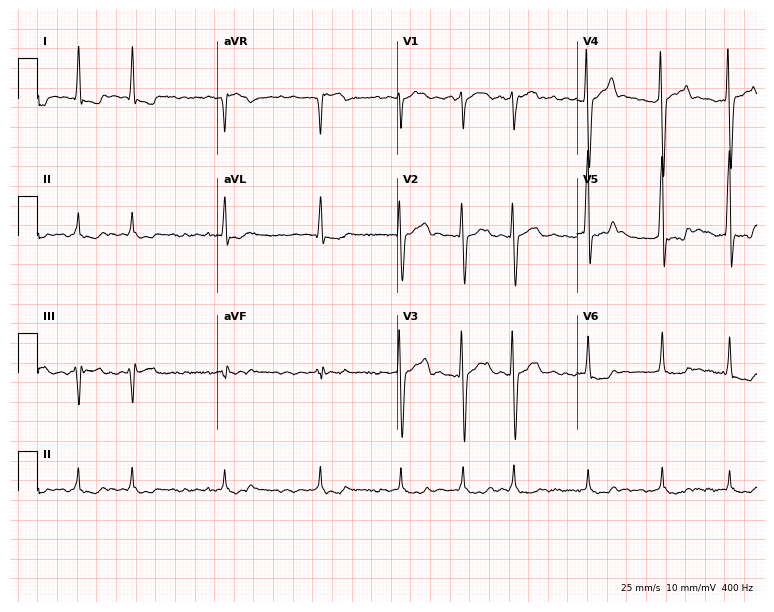
Resting 12-lead electrocardiogram (7.3-second recording at 400 Hz). Patient: a 74-year-old man. The tracing shows atrial fibrillation.